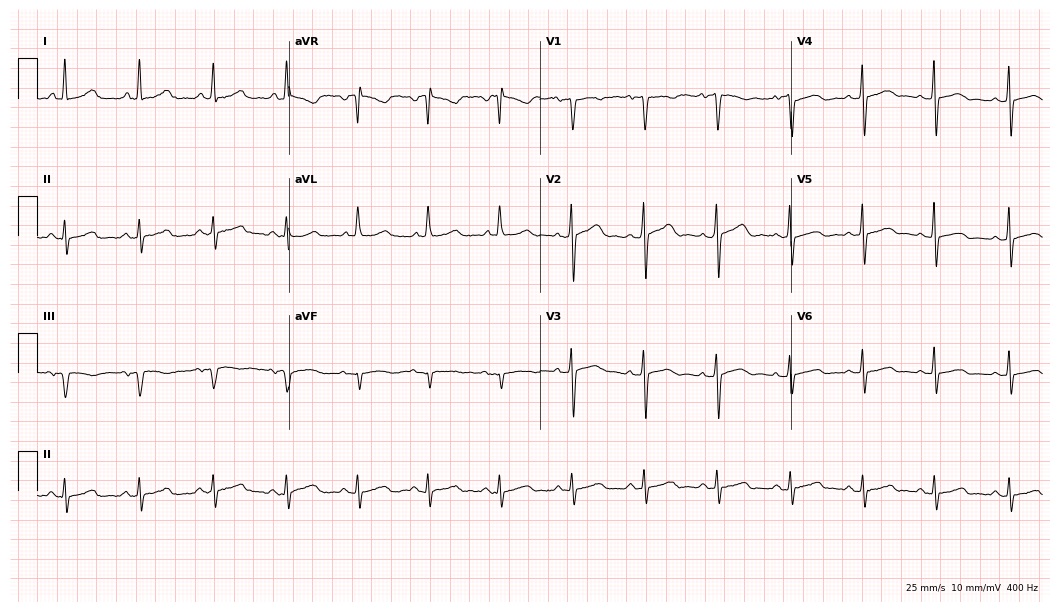
12-lead ECG from a female patient, 62 years old (10.2-second recording at 400 Hz). Recorded interpretation: within normal limits.